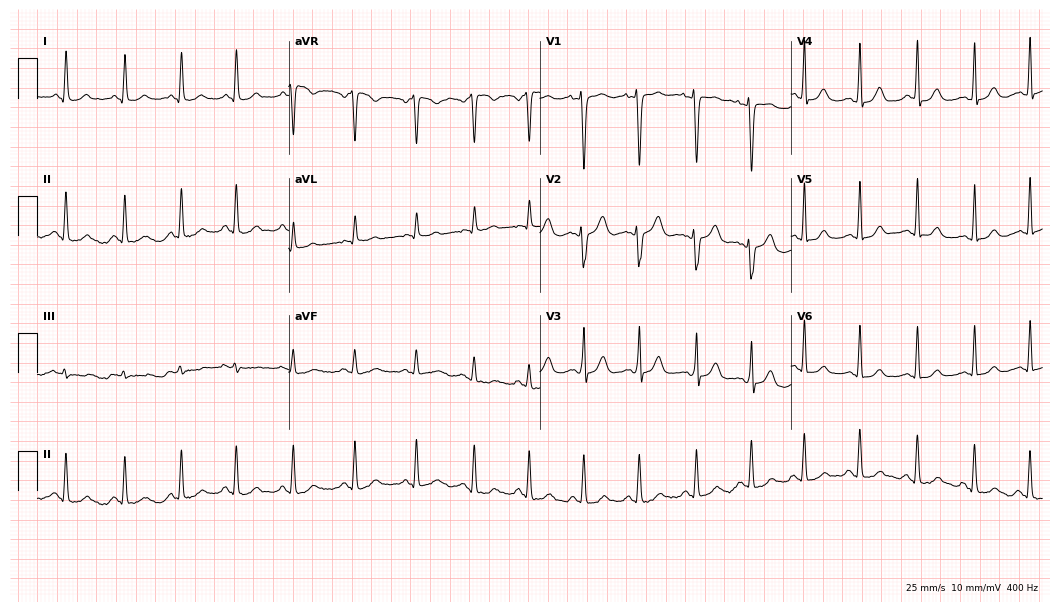
Standard 12-lead ECG recorded from a 34-year-old female patient (10.2-second recording at 400 Hz). The tracing shows sinus tachycardia (a sinus rate of 100 beats per minute or more).